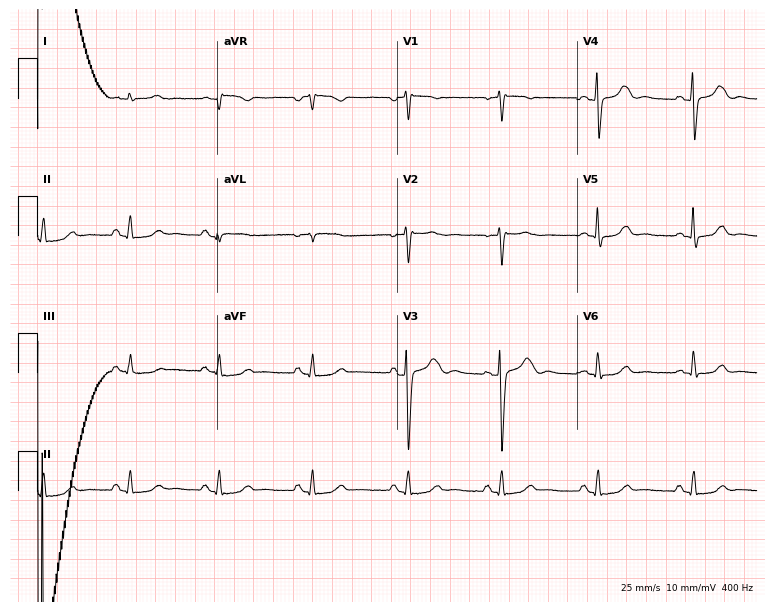
Resting 12-lead electrocardiogram. Patient: a woman, 46 years old. None of these six findings is recorded: first-degree AV block, right bundle branch block, left bundle branch block, sinus bradycardia, atrial fibrillation, sinus tachycardia. Other findings, if any, are not listed.